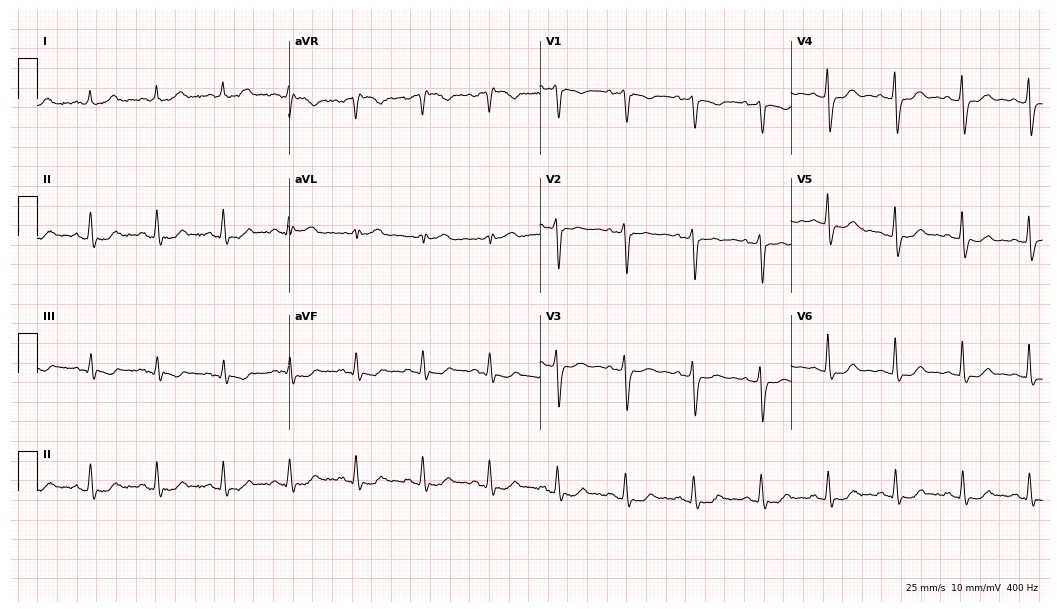
12-lead ECG from a female patient, 64 years old. Screened for six findings — first-degree AV block, right bundle branch block, left bundle branch block, sinus bradycardia, atrial fibrillation, sinus tachycardia — none is recorded.